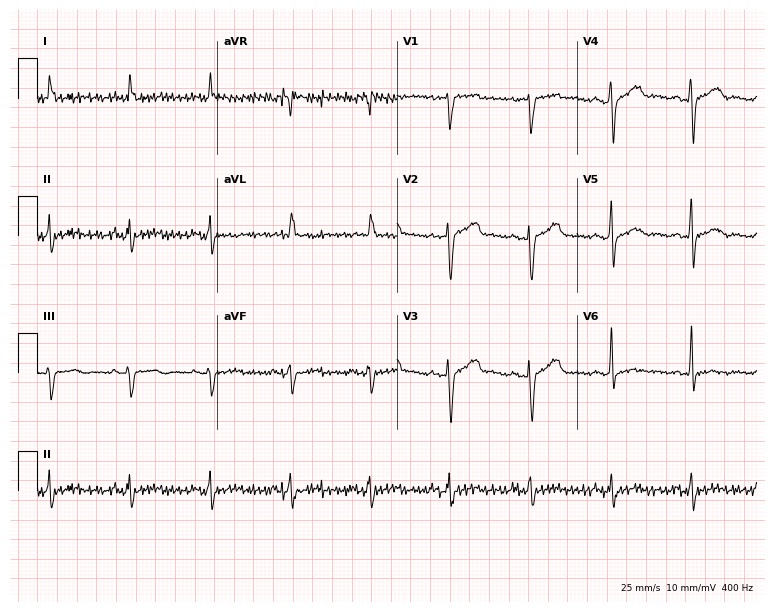
ECG (7.3-second recording at 400 Hz) — a man, 75 years old. Screened for six findings — first-degree AV block, right bundle branch block (RBBB), left bundle branch block (LBBB), sinus bradycardia, atrial fibrillation (AF), sinus tachycardia — none is recorded. Other findings, if any, are not listed.